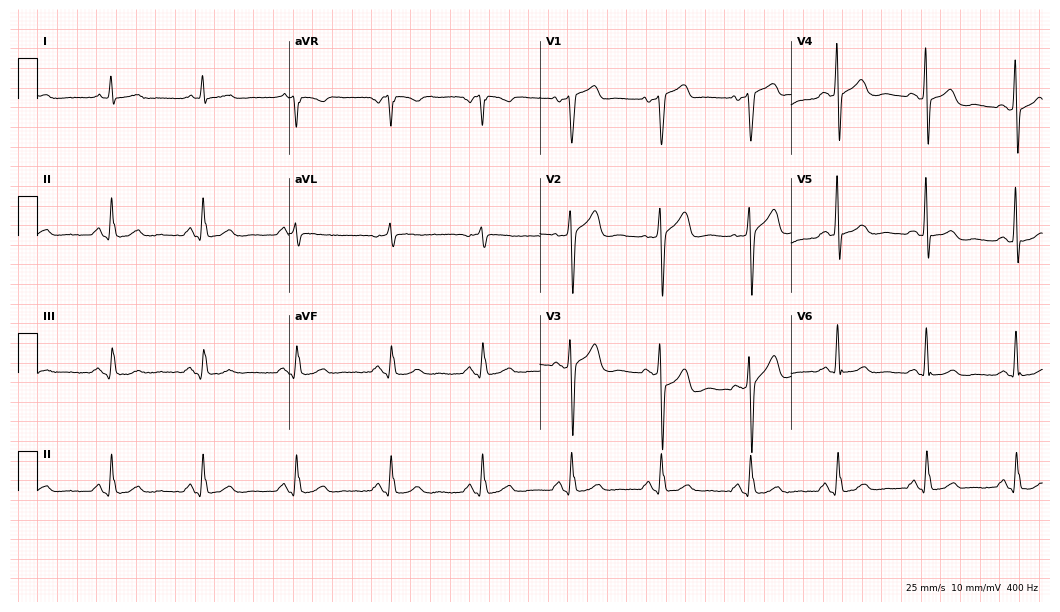
Resting 12-lead electrocardiogram. Patient: a male, 55 years old. Read as a normal ECG.